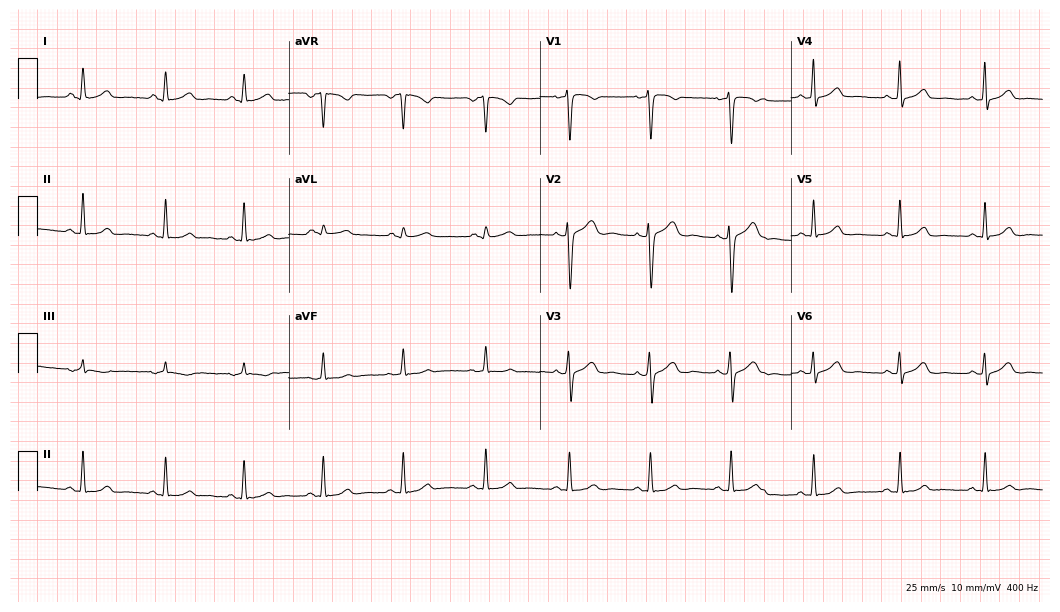
12-lead ECG (10.2-second recording at 400 Hz) from a female, 34 years old. Labelled as a normal ECG.